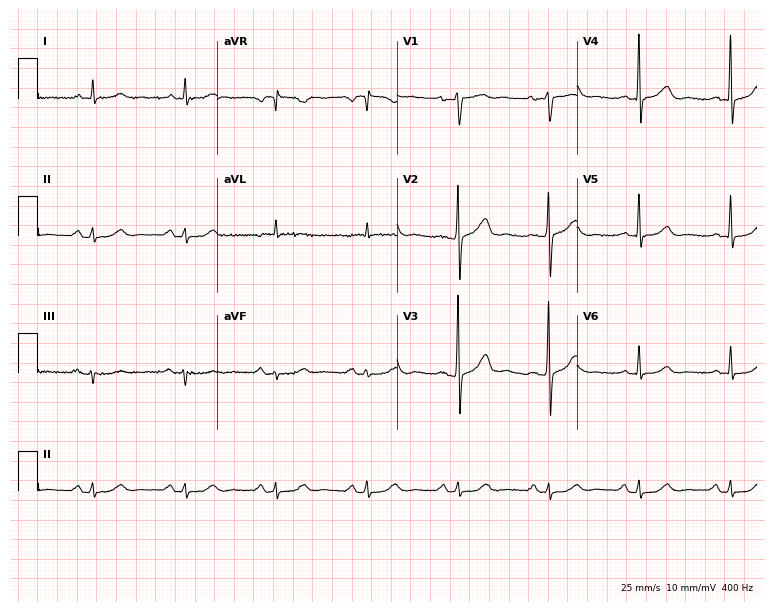
Electrocardiogram (7.3-second recording at 400 Hz), a 76-year-old male. Of the six screened findings (first-degree AV block, right bundle branch block, left bundle branch block, sinus bradycardia, atrial fibrillation, sinus tachycardia), none is recorded.